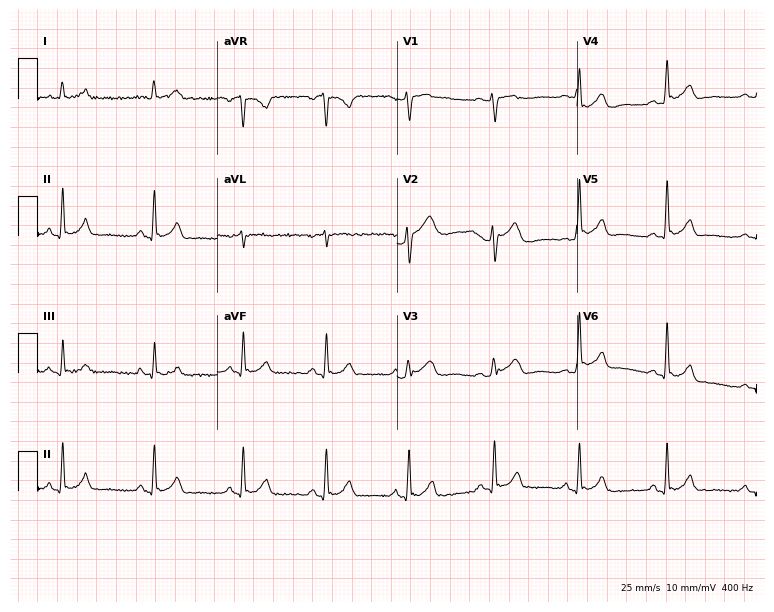
Resting 12-lead electrocardiogram (7.3-second recording at 400 Hz). Patient: a male, 40 years old. None of these six findings is recorded: first-degree AV block, right bundle branch block, left bundle branch block, sinus bradycardia, atrial fibrillation, sinus tachycardia. Only these six findings were labelled.